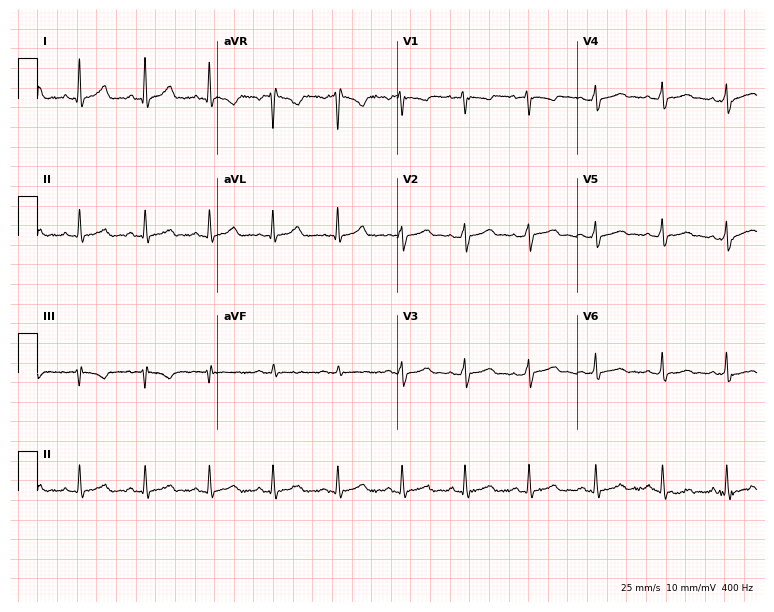
12-lead ECG from a female patient, 26 years old (7.3-second recording at 400 Hz). Recorded interpretation: within normal limits.